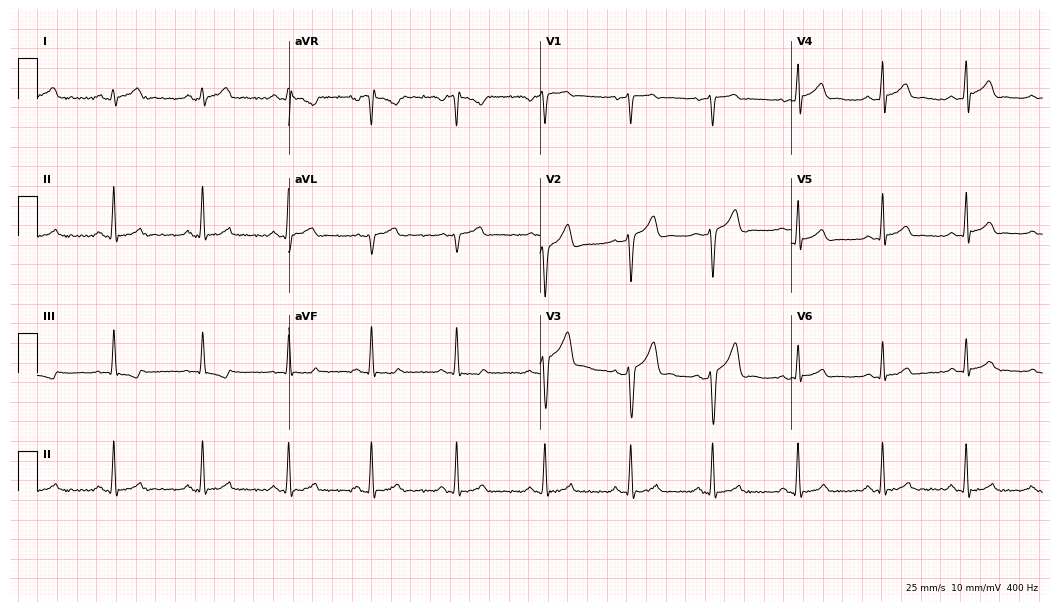
Electrocardiogram, a male patient, 30 years old. Of the six screened findings (first-degree AV block, right bundle branch block, left bundle branch block, sinus bradycardia, atrial fibrillation, sinus tachycardia), none is recorded.